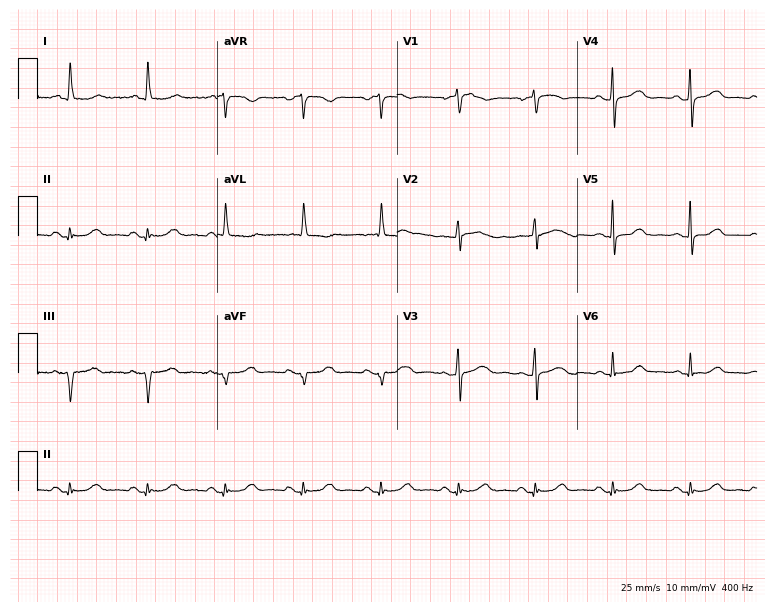
12-lead ECG from a 78-year-old female patient. Screened for six findings — first-degree AV block, right bundle branch block, left bundle branch block, sinus bradycardia, atrial fibrillation, sinus tachycardia — none is recorded. Only these six findings were labelled.